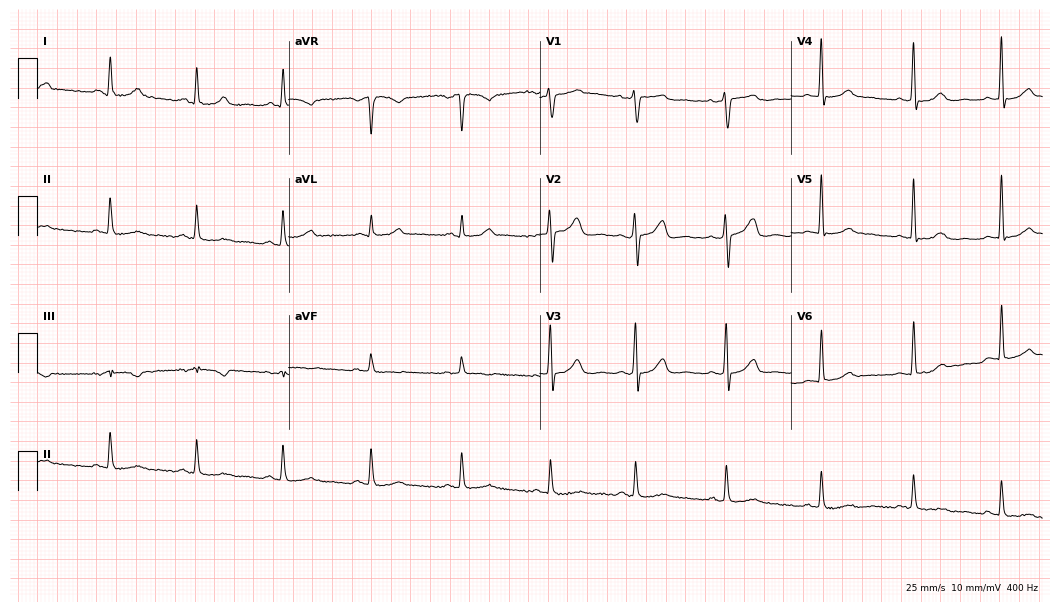
Standard 12-lead ECG recorded from a 48-year-old female. Read as a normal ECG.